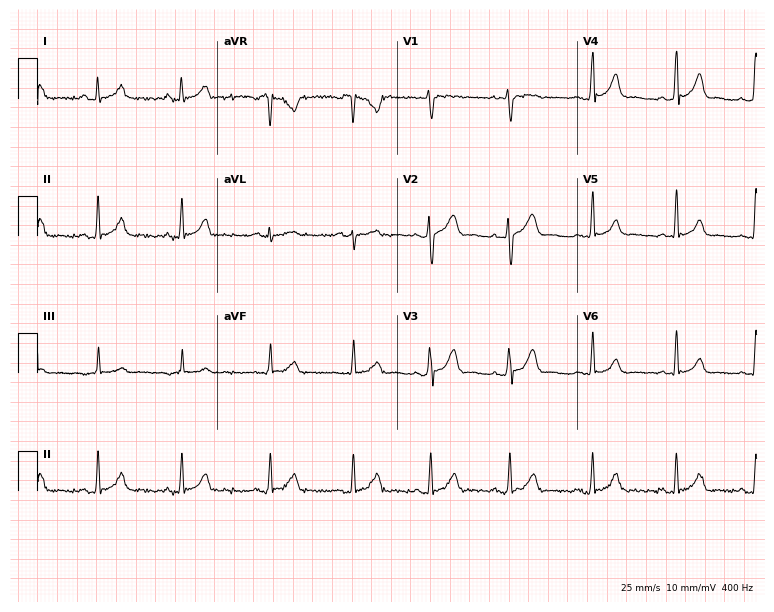
ECG (7.3-second recording at 400 Hz) — a 23-year-old woman. Labelled as a normal ECG.